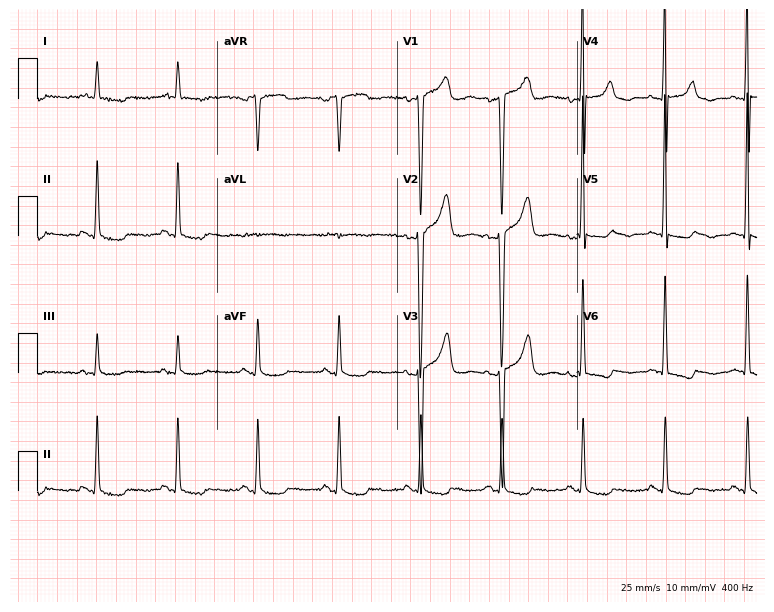
Resting 12-lead electrocardiogram. Patient: a man, 79 years old. None of these six findings is recorded: first-degree AV block, right bundle branch block, left bundle branch block, sinus bradycardia, atrial fibrillation, sinus tachycardia. Other findings, if any, are not listed.